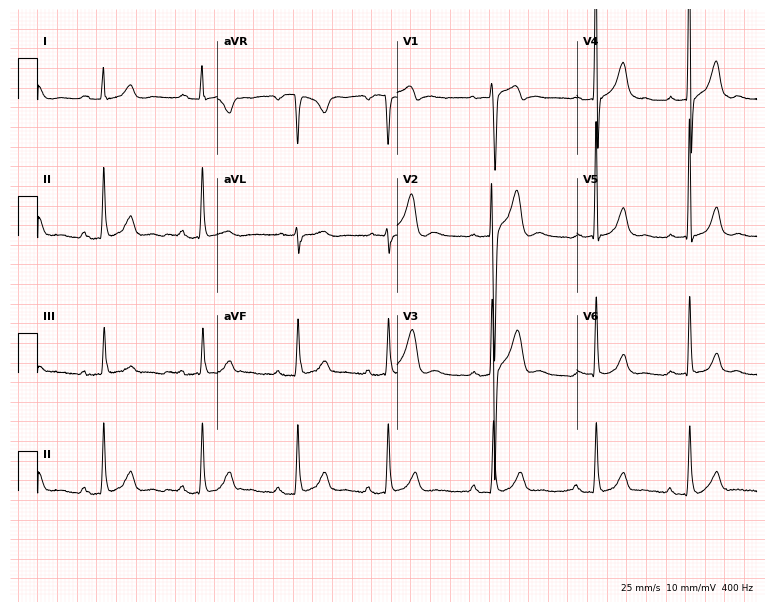
Electrocardiogram (7.3-second recording at 400 Hz), a male, 22 years old. Overall reading on record: normal ECG.